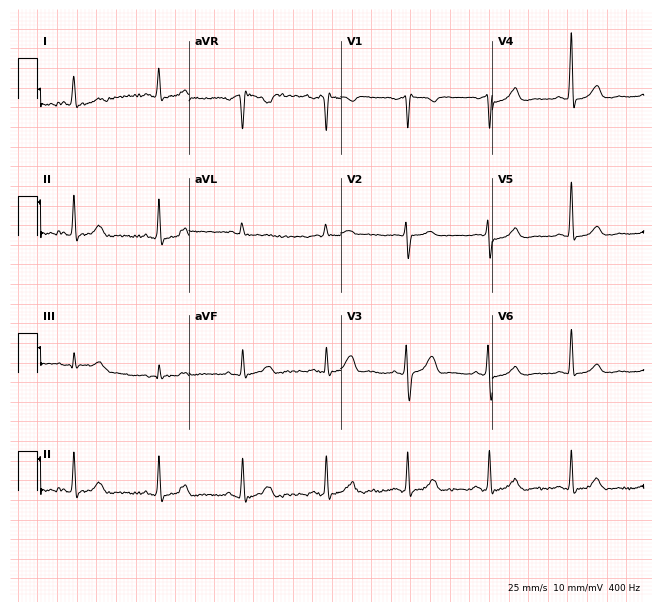
Standard 12-lead ECG recorded from a 67-year-old male (6.2-second recording at 400 Hz). None of these six findings is recorded: first-degree AV block, right bundle branch block, left bundle branch block, sinus bradycardia, atrial fibrillation, sinus tachycardia.